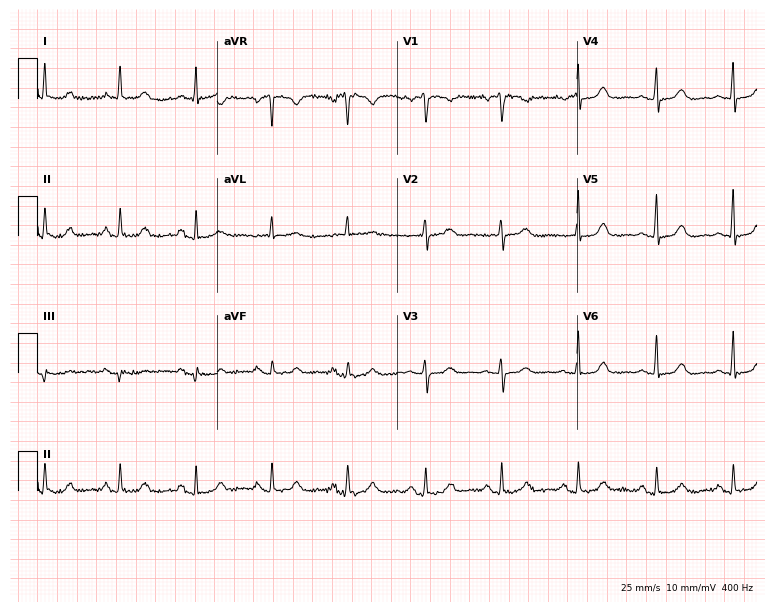
Standard 12-lead ECG recorded from a woman, 64 years old (7.3-second recording at 400 Hz). Read as a normal ECG.